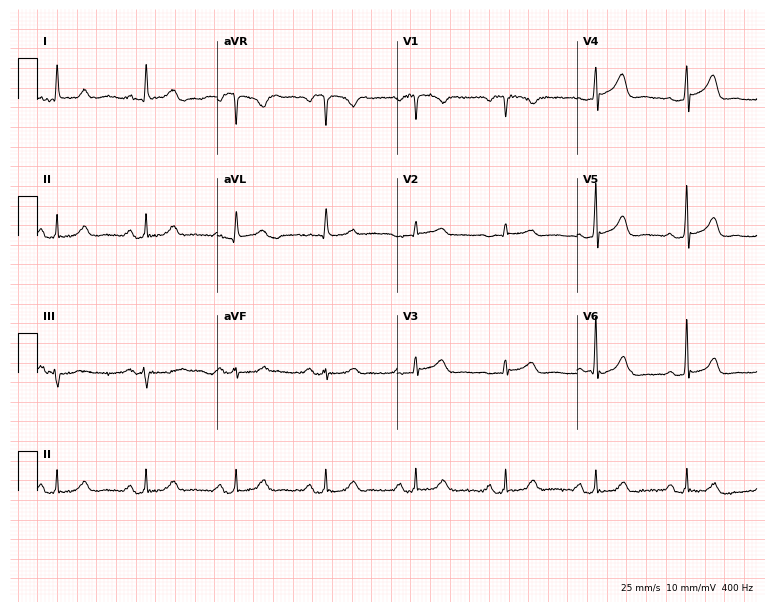
Electrocardiogram, a woman, 65 years old. Overall reading on record: normal ECG.